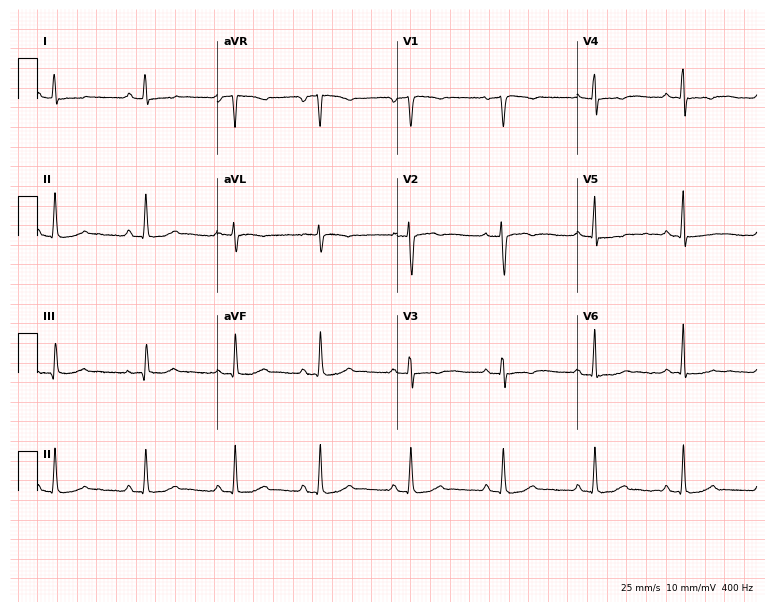
12-lead ECG from a 51-year-old female (7.3-second recording at 400 Hz). No first-degree AV block, right bundle branch block, left bundle branch block, sinus bradycardia, atrial fibrillation or sinus tachycardia recorded for this tracing. Only these six findings were labelled.